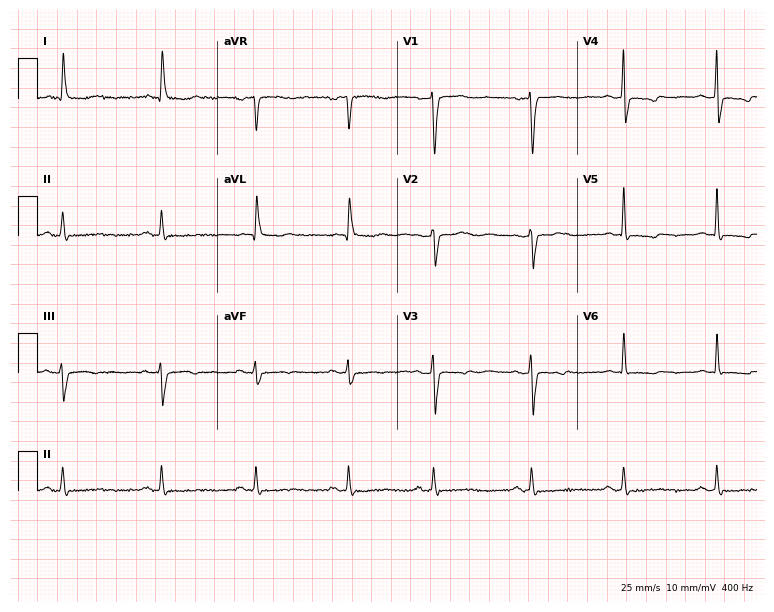
12-lead ECG from a female patient, 66 years old. No first-degree AV block, right bundle branch block, left bundle branch block, sinus bradycardia, atrial fibrillation or sinus tachycardia recorded for this tracing. Only these six findings were labelled.